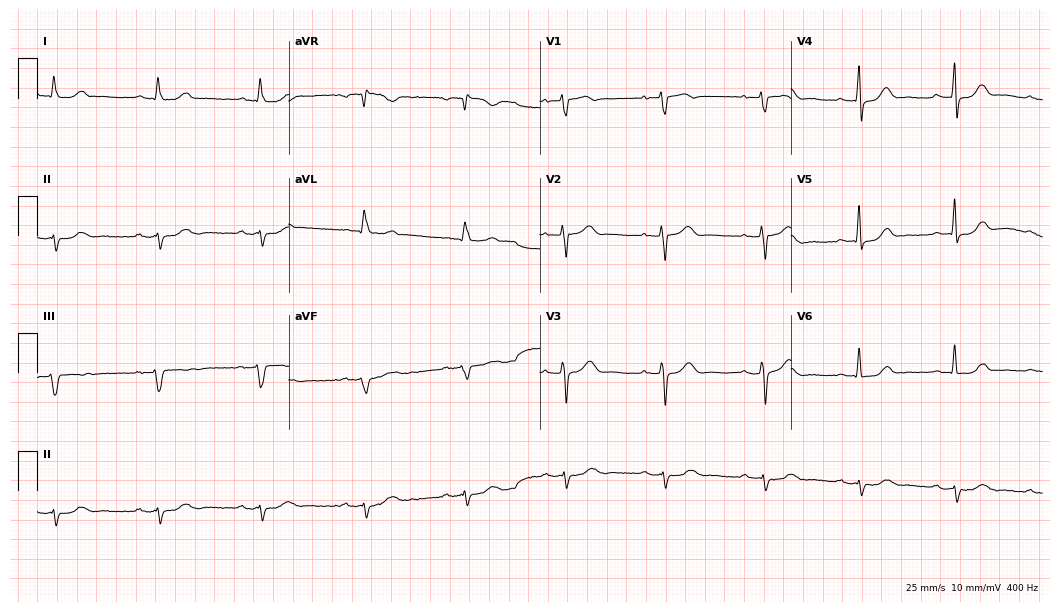
Standard 12-lead ECG recorded from a 69-year-old woman (10.2-second recording at 400 Hz). None of these six findings is recorded: first-degree AV block, right bundle branch block, left bundle branch block, sinus bradycardia, atrial fibrillation, sinus tachycardia.